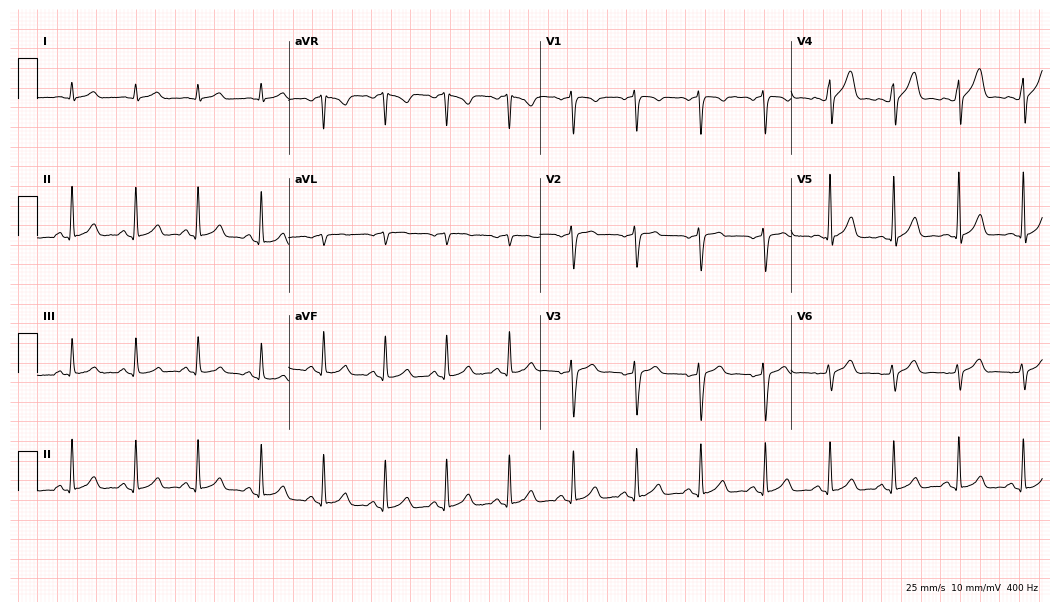
ECG (10.2-second recording at 400 Hz) — a male patient, 40 years old. Screened for six findings — first-degree AV block, right bundle branch block (RBBB), left bundle branch block (LBBB), sinus bradycardia, atrial fibrillation (AF), sinus tachycardia — none is recorded. Other findings, if any, are not listed.